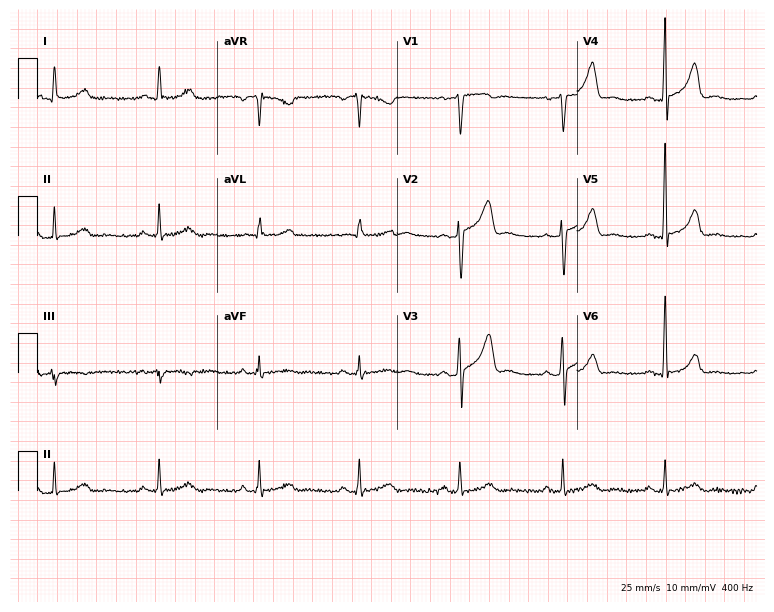
Resting 12-lead electrocardiogram. Patient: a 44-year-old male. Read as a normal ECG.